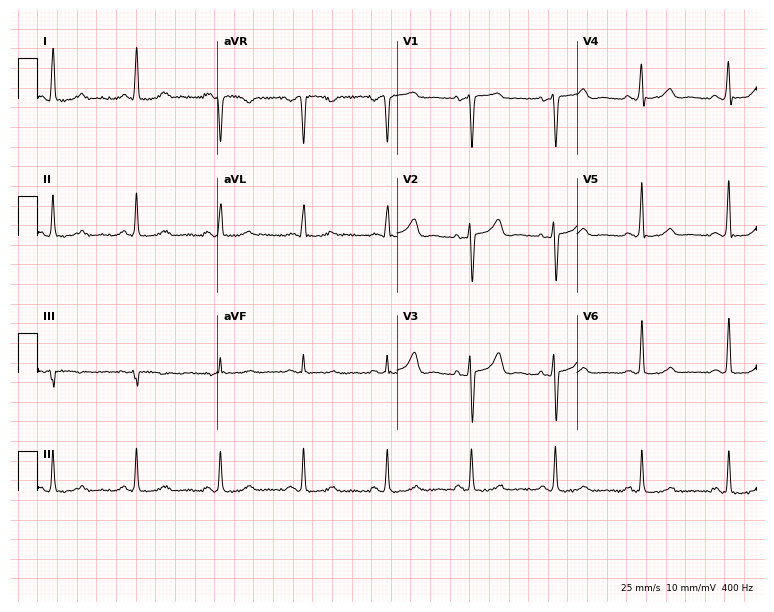
Resting 12-lead electrocardiogram. Patient: a woman, 44 years old. None of these six findings is recorded: first-degree AV block, right bundle branch block, left bundle branch block, sinus bradycardia, atrial fibrillation, sinus tachycardia. Other findings, if any, are not listed.